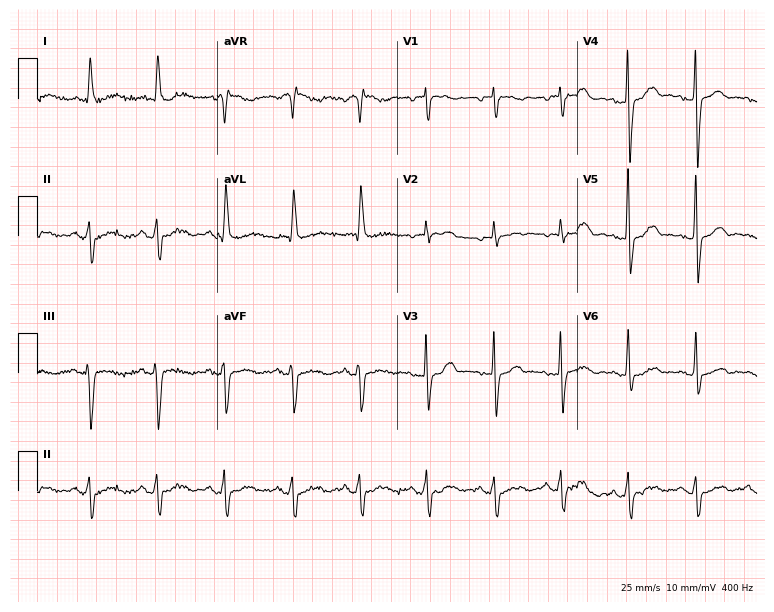
12-lead ECG from a woman, 72 years old. Labelled as a normal ECG.